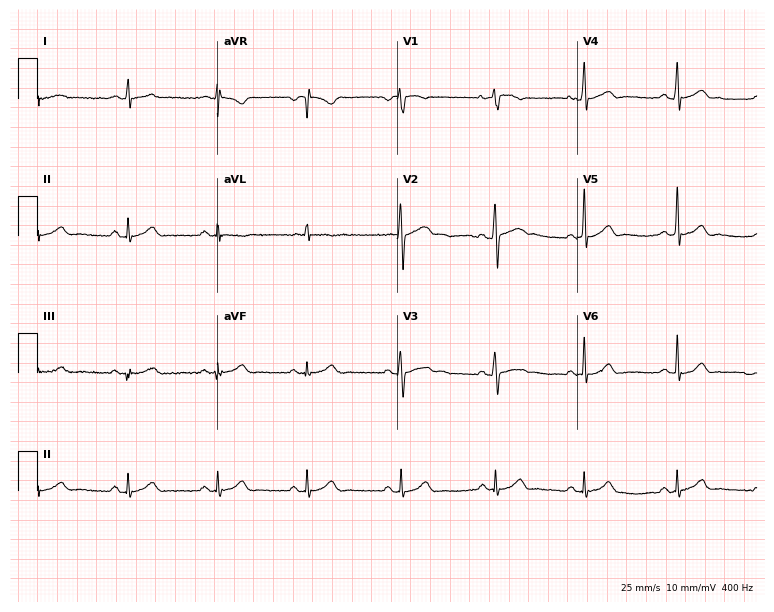
12-lead ECG from a 20-year-old man. Recorded interpretation: within normal limits.